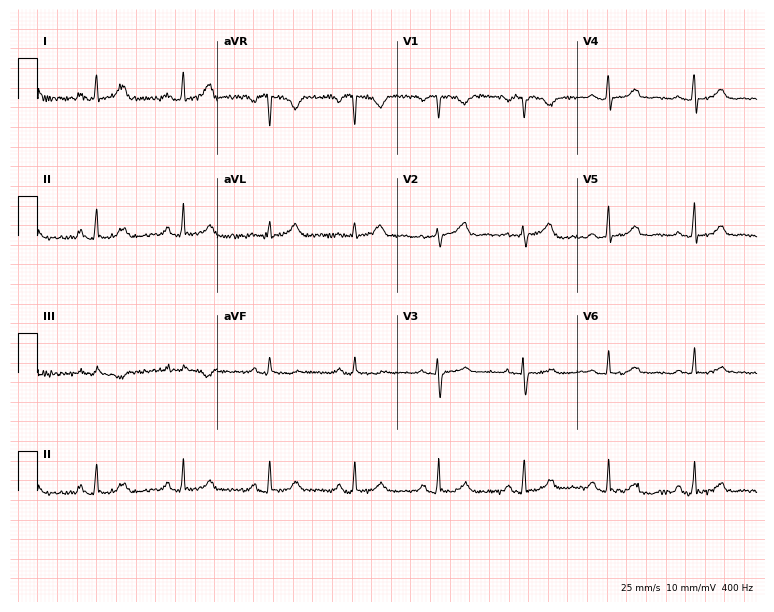
12-lead ECG from a 52-year-old woman. Labelled as a normal ECG.